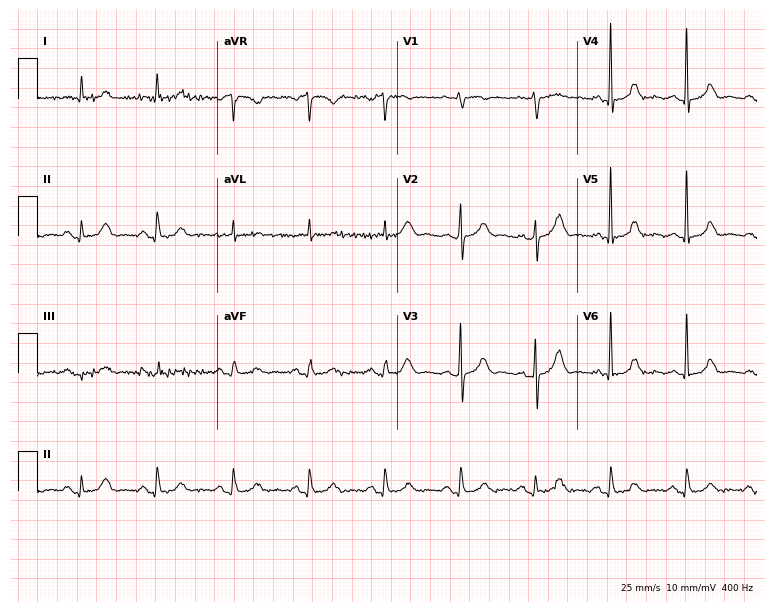
Electrocardiogram (7.3-second recording at 400 Hz), a female, 73 years old. Of the six screened findings (first-degree AV block, right bundle branch block (RBBB), left bundle branch block (LBBB), sinus bradycardia, atrial fibrillation (AF), sinus tachycardia), none is recorded. Only these six findings were labelled.